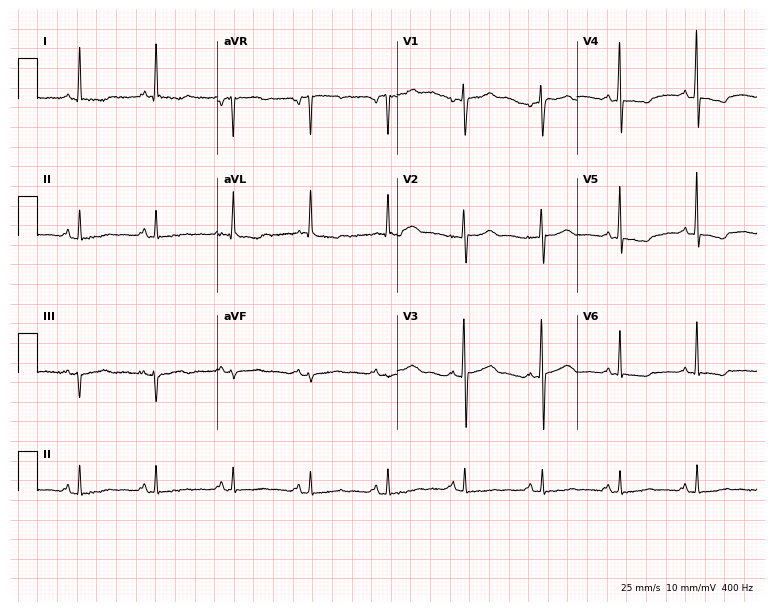
Standard 12-lead ECG recorded from a female, 73 years old (7.3-second recording at 400 Hz). None of these six findings is recorded: first-degree AV block, right bundle branch block, left bundle branch block, sinus bradycardia, atrial fibrillation, sinus tachycardia. Only these six findings were labelled.